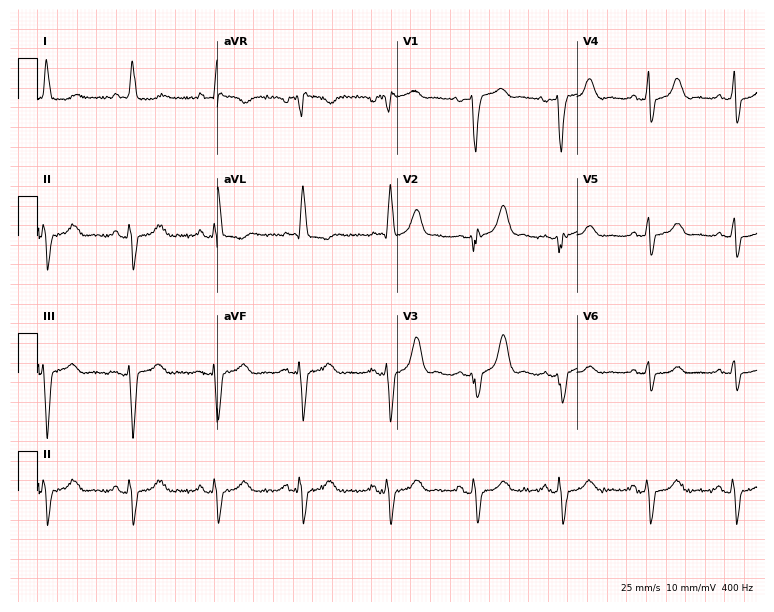
Standard 12-lead ECG recorded from a female patient, 84 years old. None of these six findings is recorded: first-degree AV block, right bundle branch block, left bundle branch block, sinus bradycardia, atrial fibrillation, sinus tachycardia. Findings outside these six are not listed.